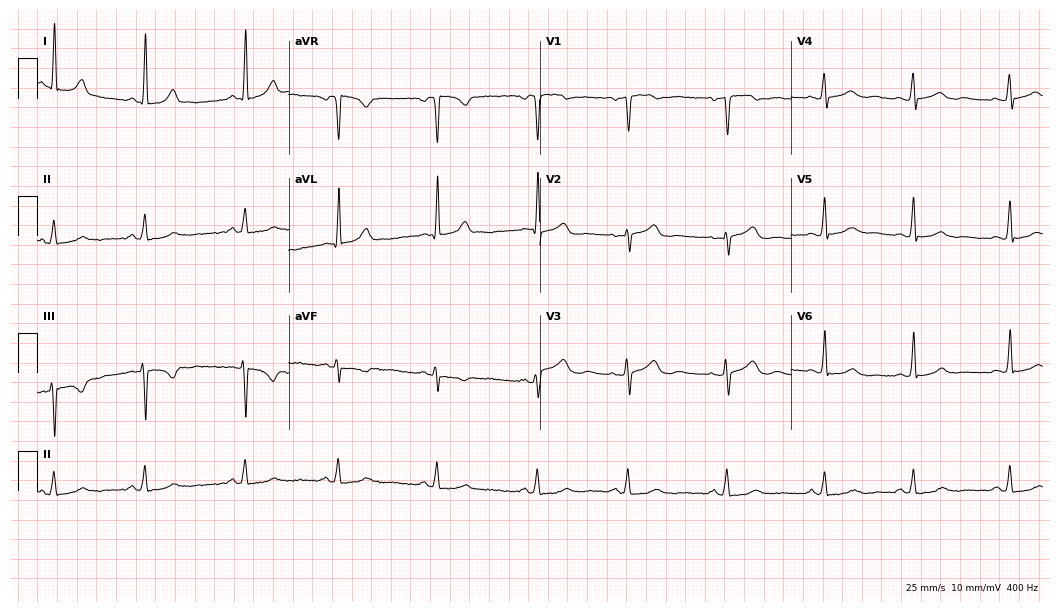
12-lead ECG (10.2-second recording at 400 Hz) from a female patient, 29 years old. Screened for six findings — first-degree AV block, right bundle branch block, left bundle branch block, sinus bradycardia, atrial fibrillation, sinus tachycardia — none is recorded. Only these six findings were labelled.